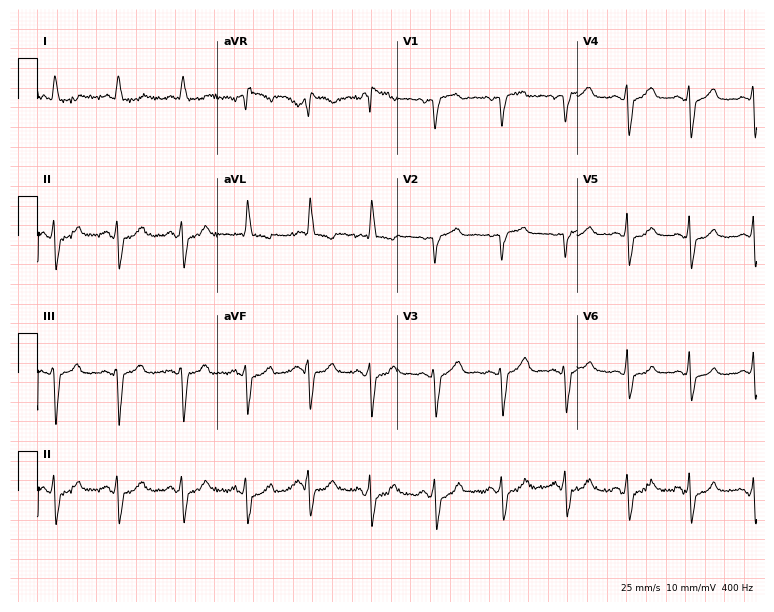
Standard 12-lead ECG recorded from an 84-year-old female patient (7.3-second recording at 400 Hz). None of these six findings is recorded: first-degree AV block, right bundle branch block, left bundle branch block, sinus bradycardia, atrial fibrillation, sinus tachycardia.